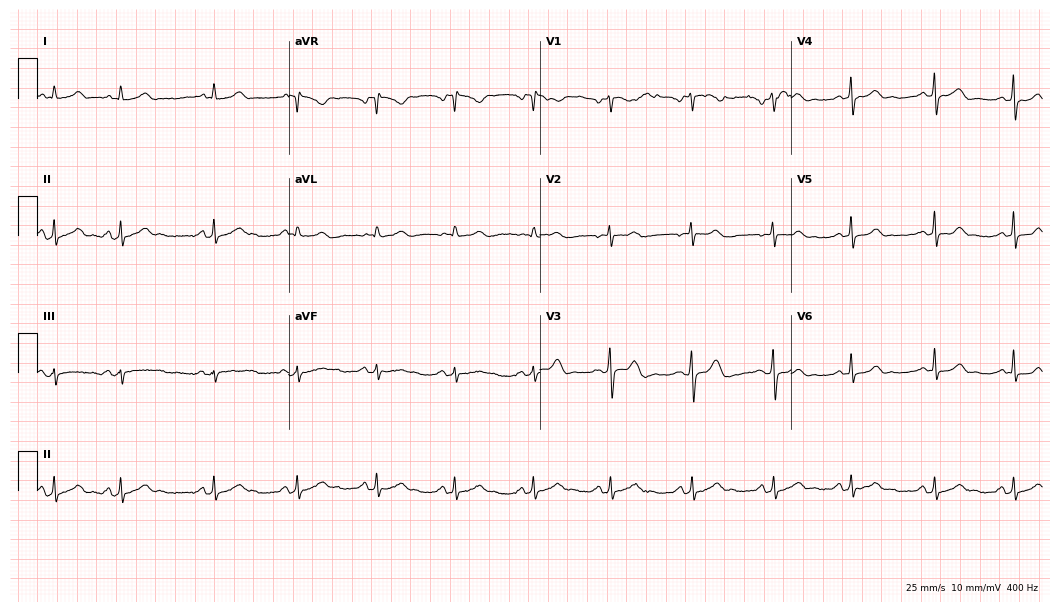
12-lead ECG from a 38-year-old female patient. Recorded interpretation: within normal limits.